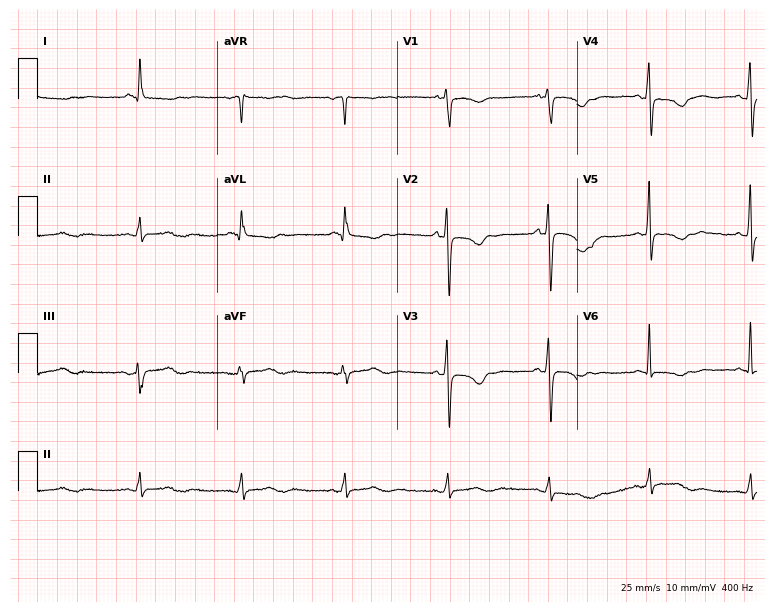
12-lead ECG from a female, 70 years old (7.3-second recording at 400 Hz). No first-degree AV block, right bundle branch block, left bundle branch block, sinus bradycardia, atrial fibrillation or sinus tachycardia recorded for this tracing. Other findings, if any, are not listed.